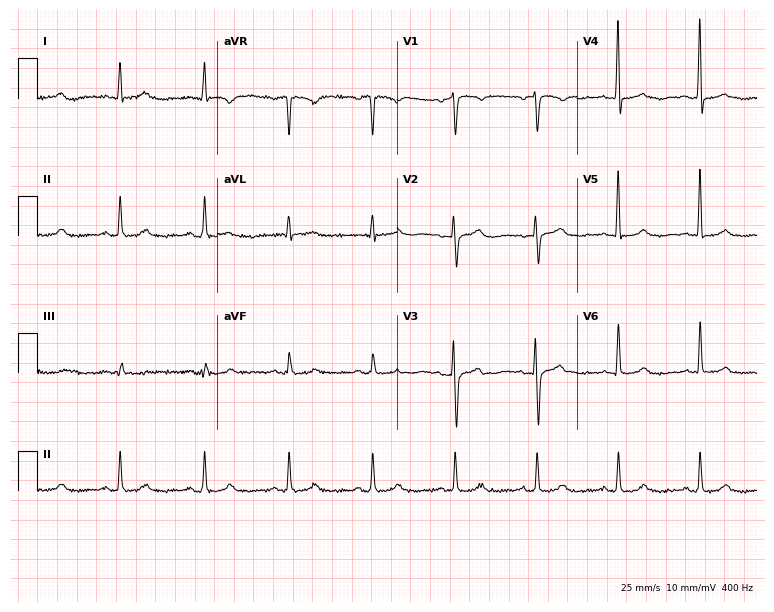
Standard 12-lead ECG recorded from a 55-year-old female. Read as a normal ECG.